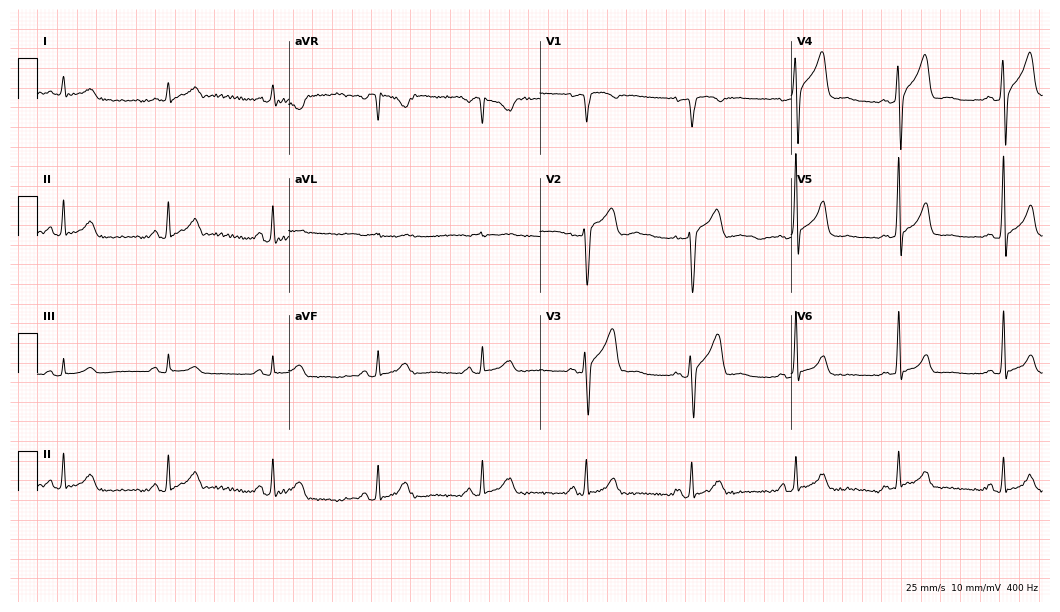
12-lead ECG from a male patient, 57 years old. Recorded interpretation: within normal limits.